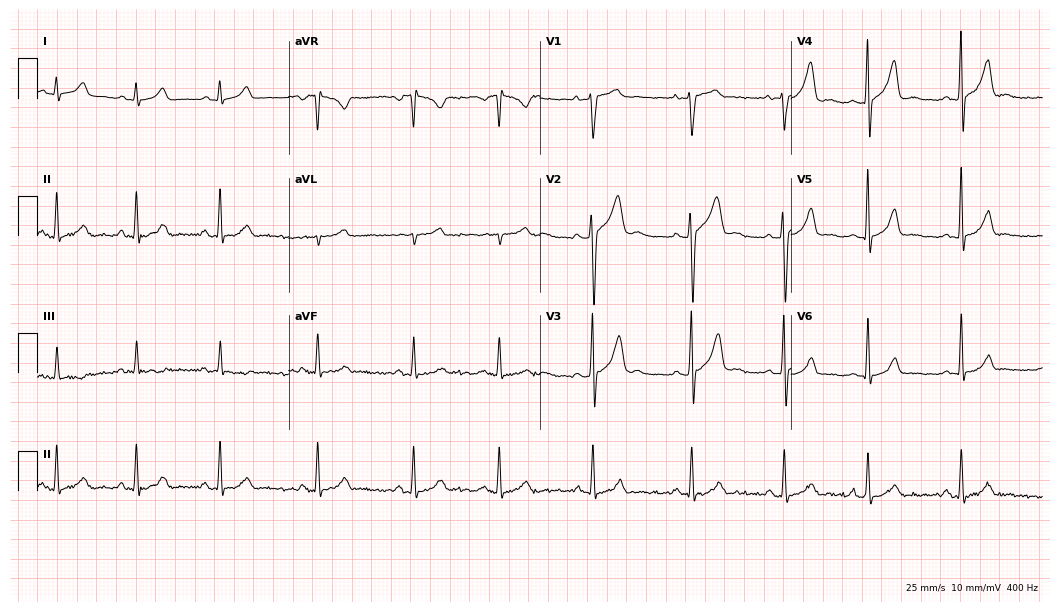
Resting 12-lead electrocardiogram (10.2-second recording at 400 Hz). Patient: a 23-year-old man. None of these six findings is recorded: first-degree AV block, right bundle branch block, left bundle branch block, sinus bradycardia, atrial fibrillation, sinus tachycardia. Other findings, if any, are not listed.